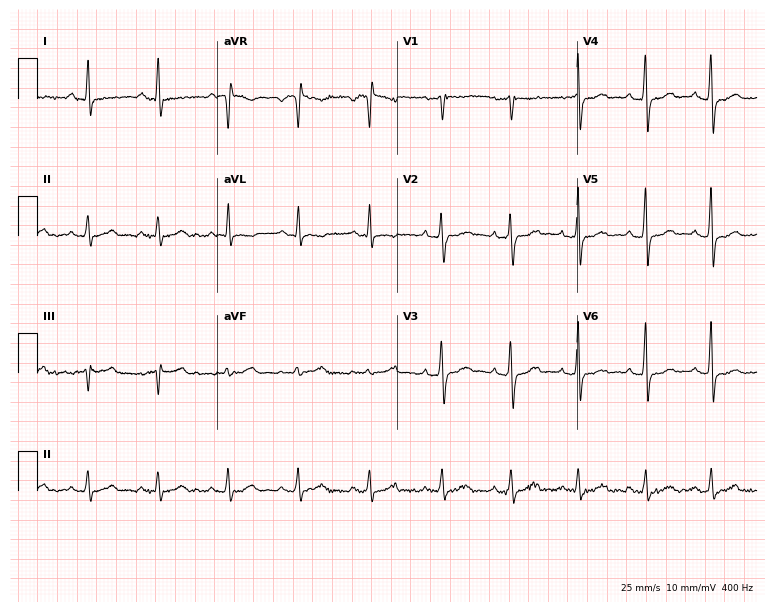
12-lead ECG from a 31-year-old male. No first-degree AV block, right bundle branch block, left bundle branch block, sinus bradycardia, atrial fibrillation or sinus tachycardia recorded for this tracing. Other findings, if any, are not listed.